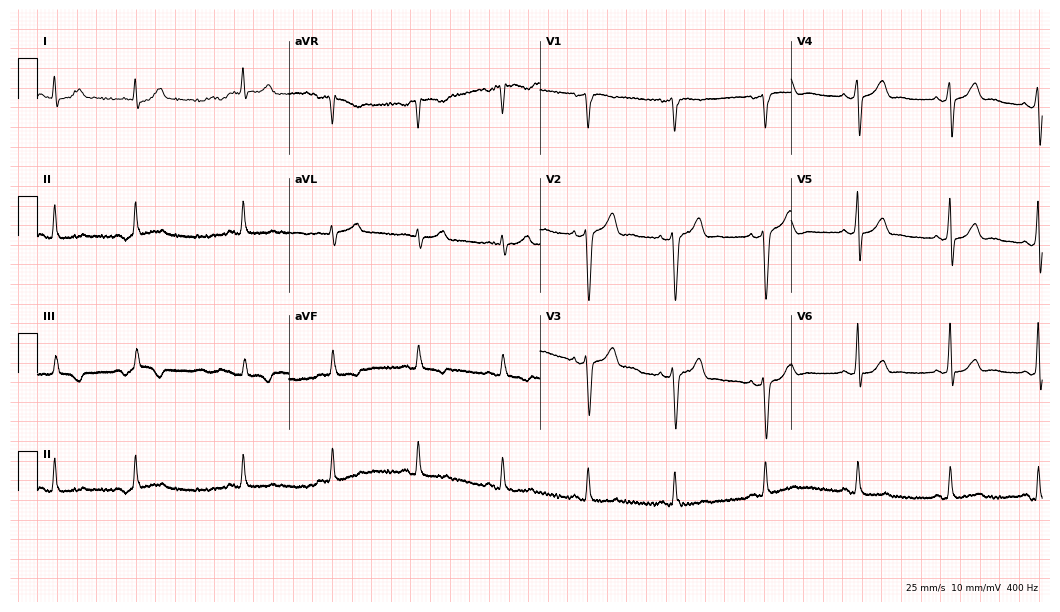
12-lead ECG from a male, 35 years old (10.2-second recording at 400 Hz). No first-degree AV block, right bundle branch block, left bundle branch block, sinus bradycardia, atrial fibrillation or sinus tachycardia recorded for this tracing.